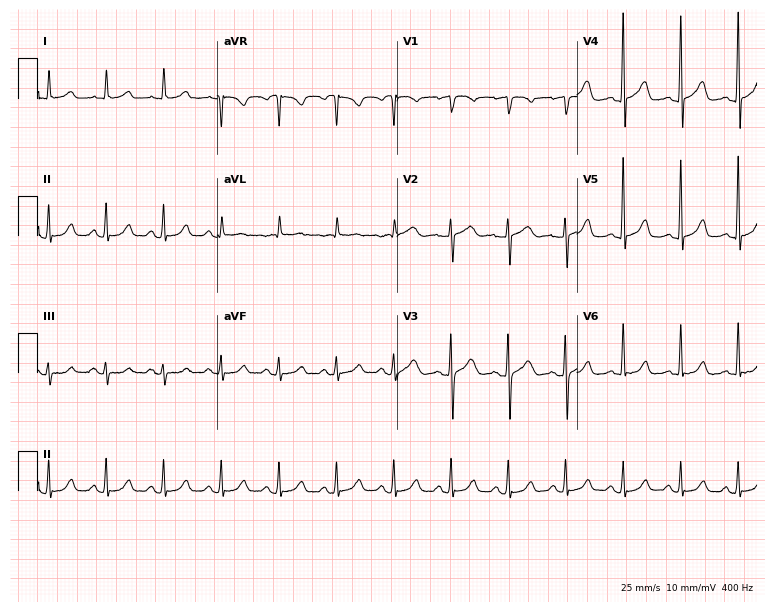
Standard 12-lead ECG recorded from a 76-year-old woman. The tracing shows sinus tachycardia (a sinus rate of 100 beats per minute or more).